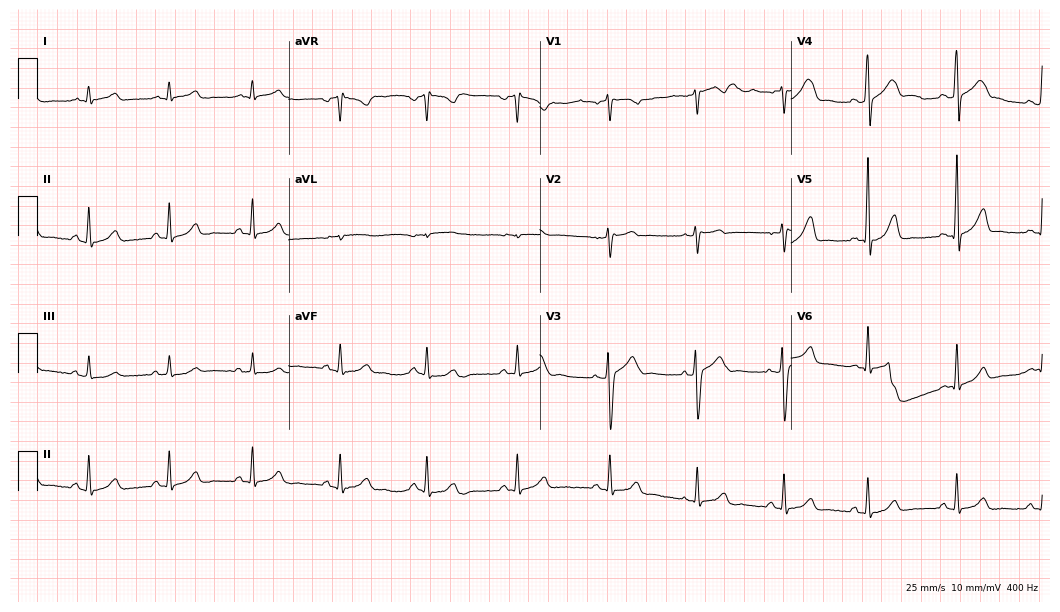
Resting 12-lead electrocardiogram (10.2-second recording at 400 Hz). Patient: a 34-year-old male. None of these six findings is recorded: first-degree AV block, right bundle branch block, left bundle branch block, sinus bradycardia, atrial fibrillation, sinus tachycardia. Only these six findings were labelled.